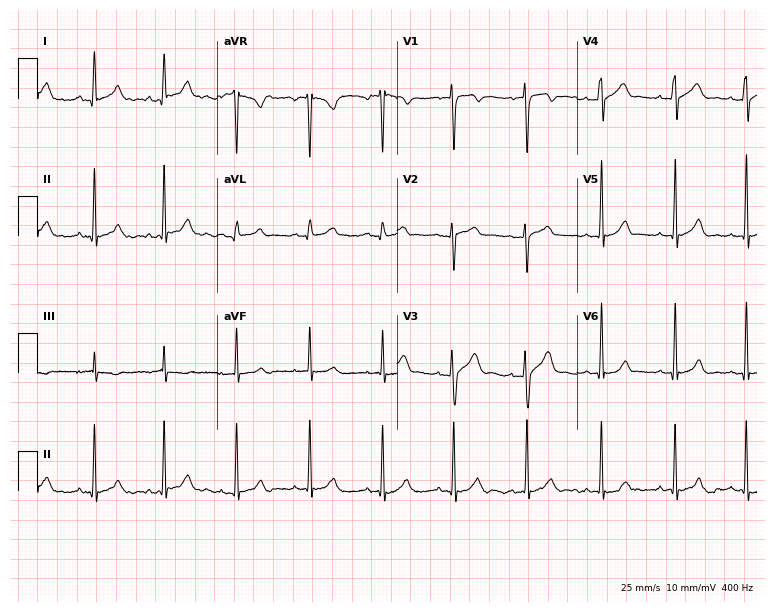
Electrocardiogram, a female, 31 years old. Overall reading on record: normal ECG.